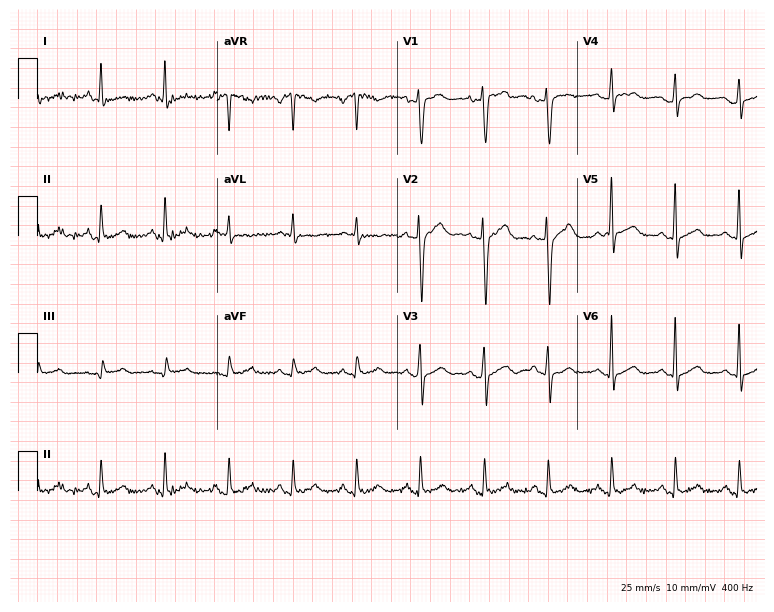
ECG (7.3-second recording at 400 Hz) — a 42-year-old man. Screened for six findings — first-degree AV block, right bundle branch block (RBBB), left bundle branch block (LBBB), sinus bradycardia, atrial fibrillation (AF), sinus tachycardia — none is recorded. Other findings, if any, are not listed.